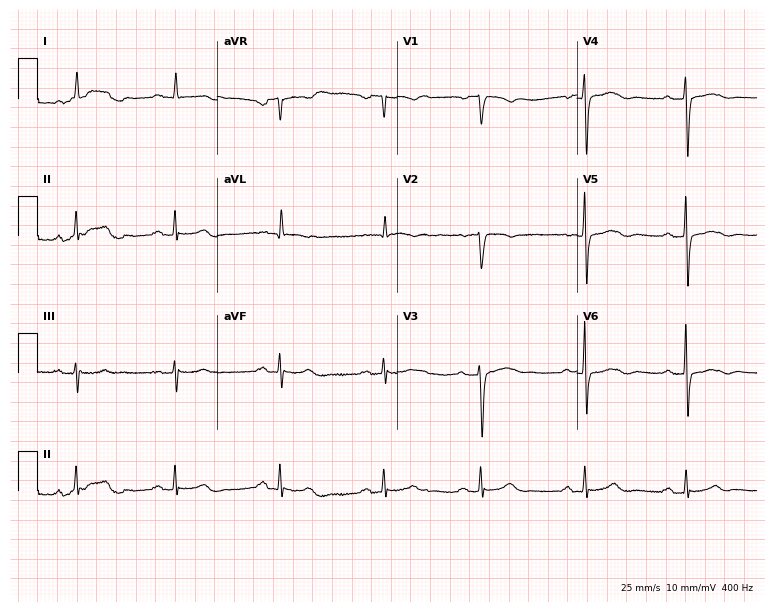
Electrocardiogram, a 76-year-old woman. Of the six screened findings (first-degree AV block, right bundle branch block, left bundle branch block, sinus bradycardia, atrial fibrillation, sinus tachycardia), none is recorded. Only these six findings were labelled.